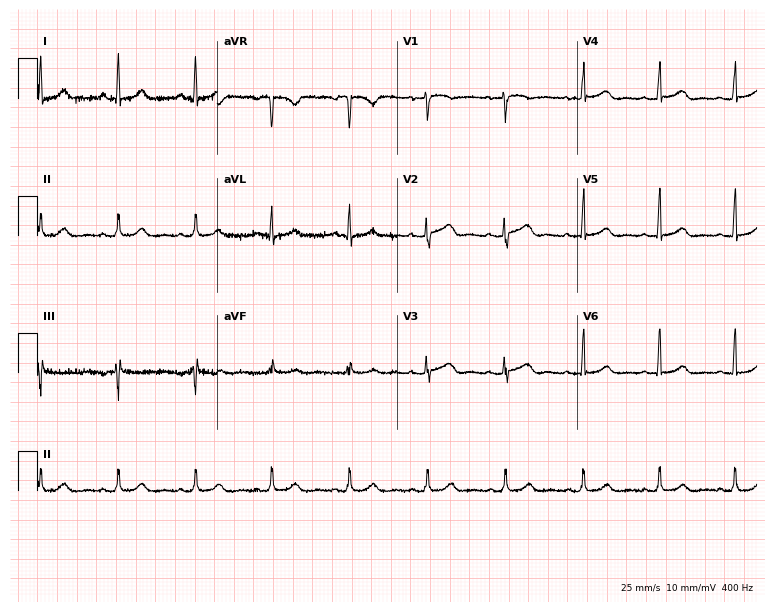
Electrocardiogram, a female, 44 years old. Of the six screened findings (first-degree AV block, right bundle branch block (RBBB), left bundle branch block (LBBB), sinus bradycardia, atrial fibrillation (AF), sinus tachycardia), none is recorded.